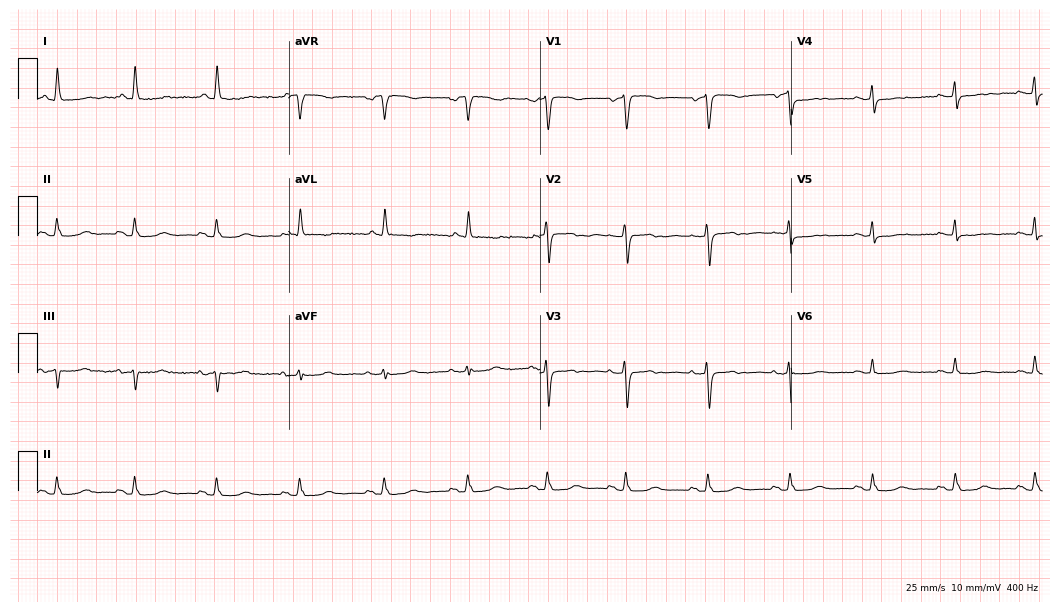
Electrocardiogram, a female patient, 66 years old. Of the six screened findings (first-degree AV block, right bundle branch block, left bundle branch block, sinus bradycardia, atrial fibrillation, sinus tachycardia), none is recorded.